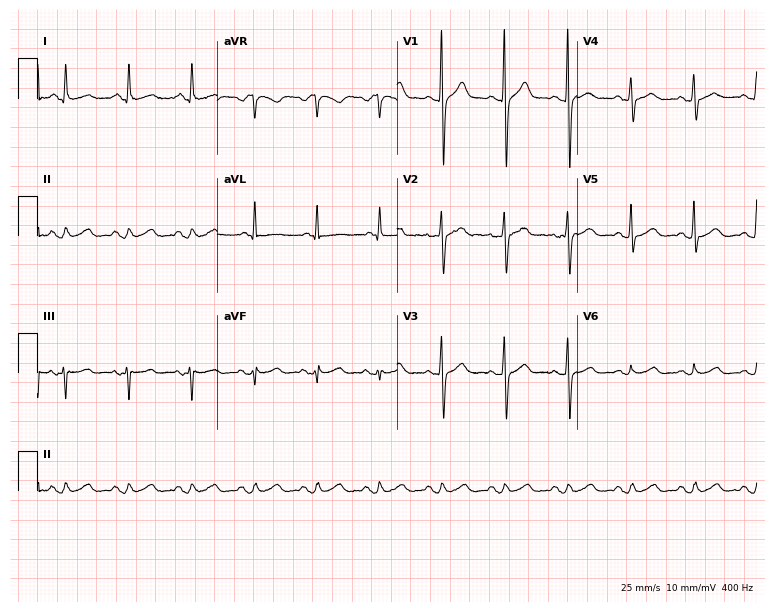
ECG (7.3-second recording at 400 Hz) — a 26-year-old male. Screened for six findings — first-degree AV block, right bundle branch block (RBBB), left bundle branch block (LBBB), sinus bradycardia, atrial fibrillation (AF), sinus tachycardia — none is recorded. Other findings, if any, are not listed.